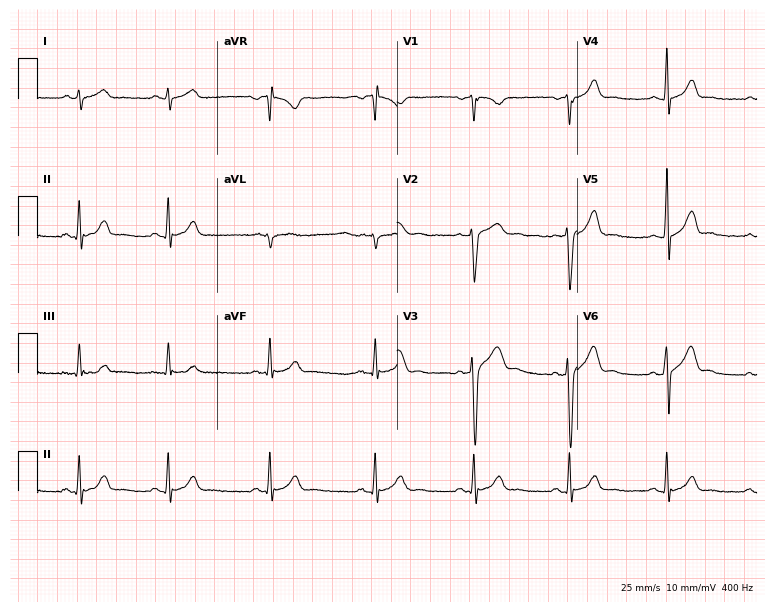
Resting 12-lead electrocardiogram. Patient: a male, 40 years old. Read as a normal ECG.